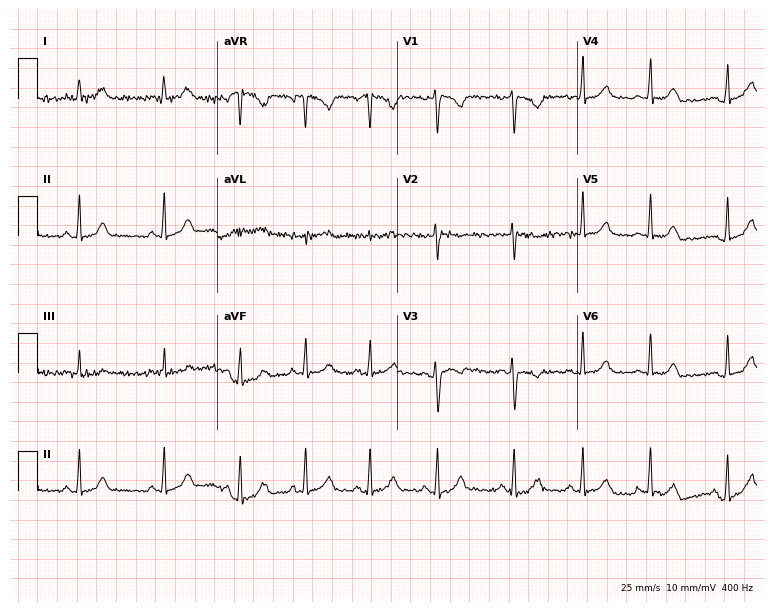
Resting 12-lead electrocardiogram (7.3-second recording at 400 Hz). Patient: a female, 23 years old. None of these six findings is recorded: first-degree AV block, right bundle branch block, left bundle branch block, sinus bradycardia, atrial fibrillation, sinus tachycardia.